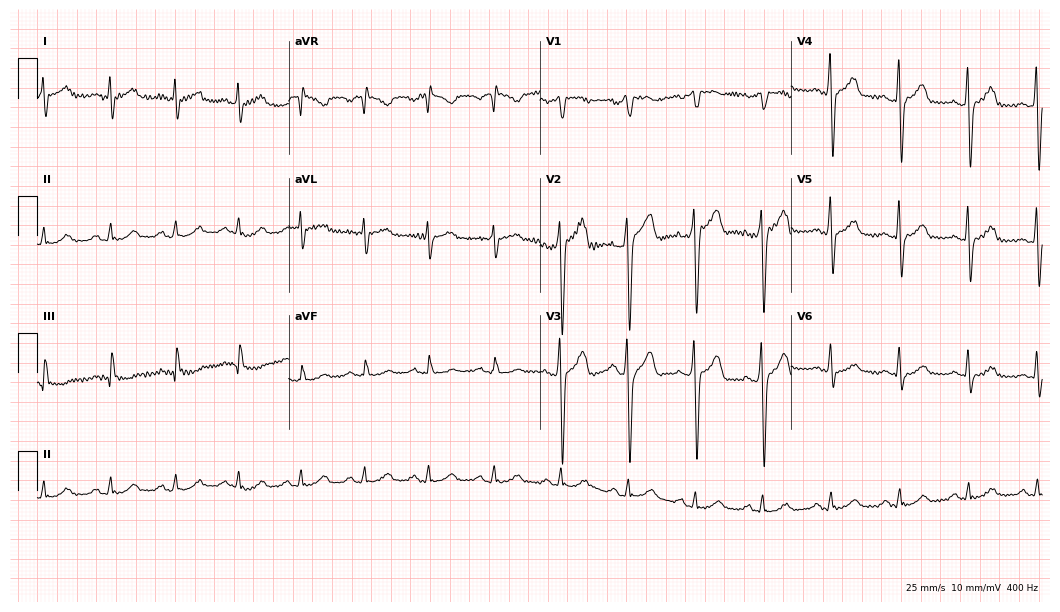
12-lead ECG from a 46-year-old male (10.2-second recording at 400 Hz). Recorded interpretation: within normal limits.